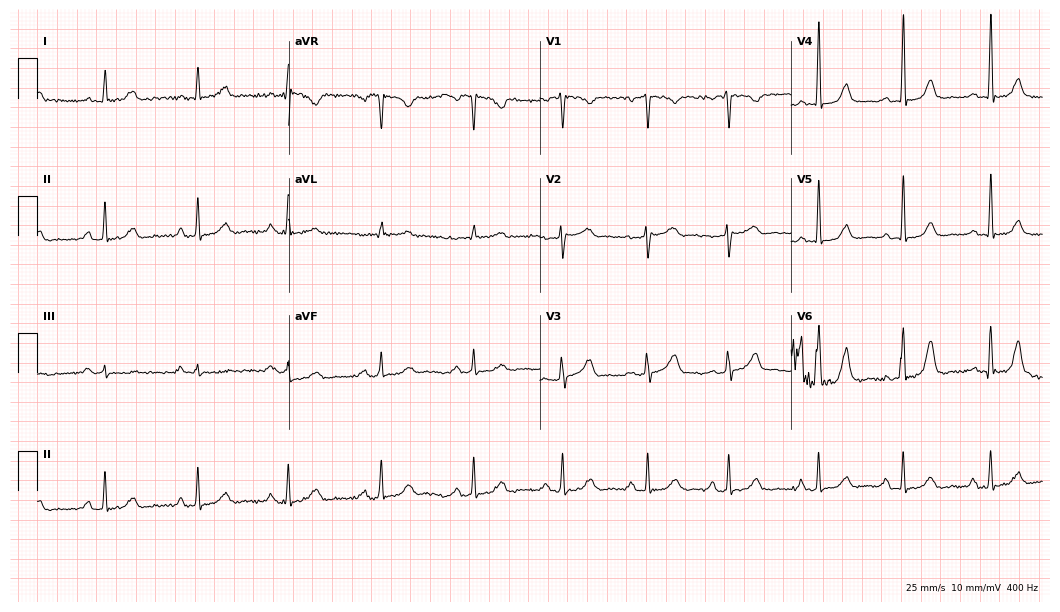
Standard 12-lead ECG recorded from a 41-year-old female patient. None of these six findings is recorded: first-degree AV block, right bundle branch block, left bundle branch block, sinus bradycardia, atrial fibrillation, sinus tachycardia. Other findings, if any, are not listed.